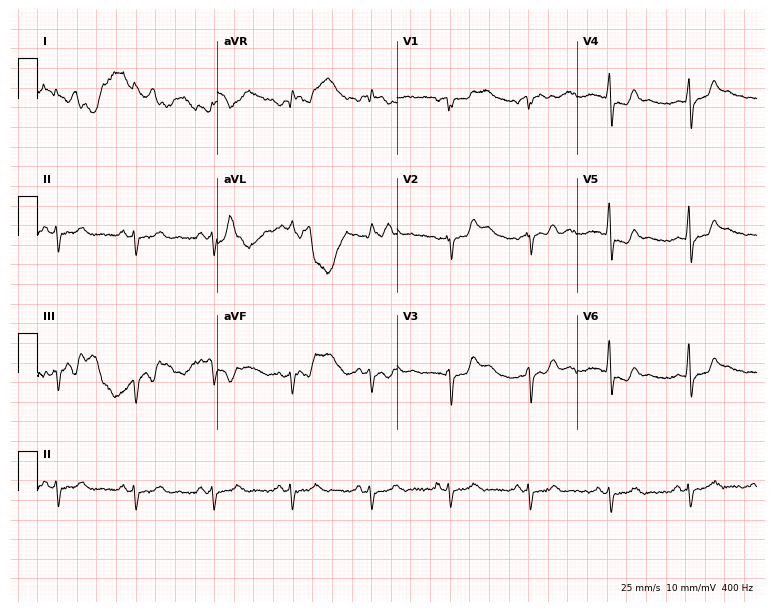
Electrocardiogram, a man, 78 years old. Of the six screened findings (first-degree AV block, right bundle branch block, left bundle branch block, sinus bradycardia, atrial fibrillation, sinus tachycardia), none is recorded. Only these six findings were labelled.